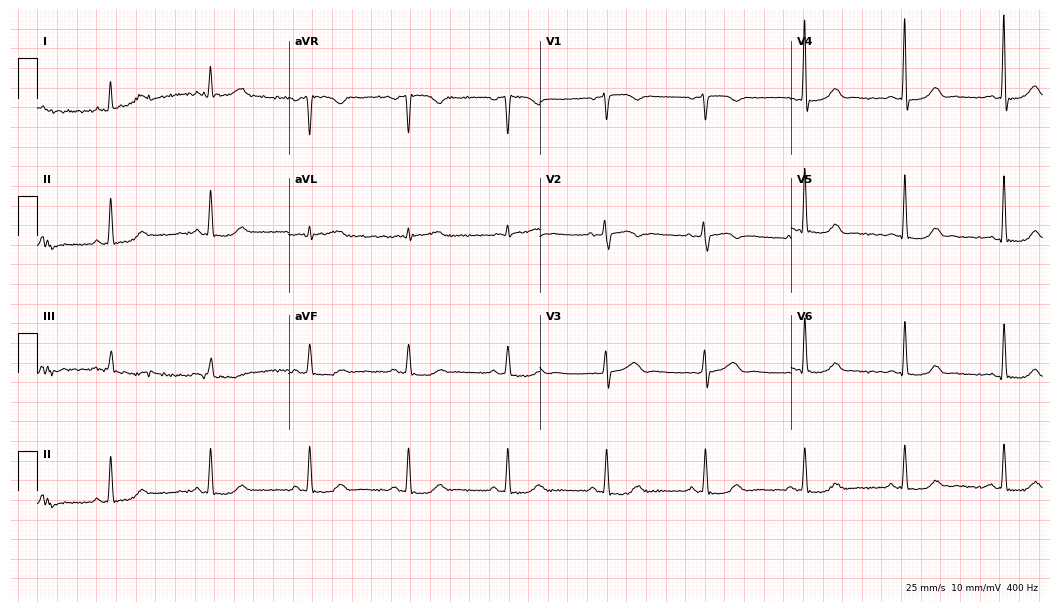
Resting 12-lead electrocardiogram. Patient: a 56-year-old female. None of these six findings is recorded: first-degree AV block, right bundle branch block (RBBB), left bundle branch block (LBBB), sinus bradycardia, atrial fibrillation (AF), sinus tachycardia.